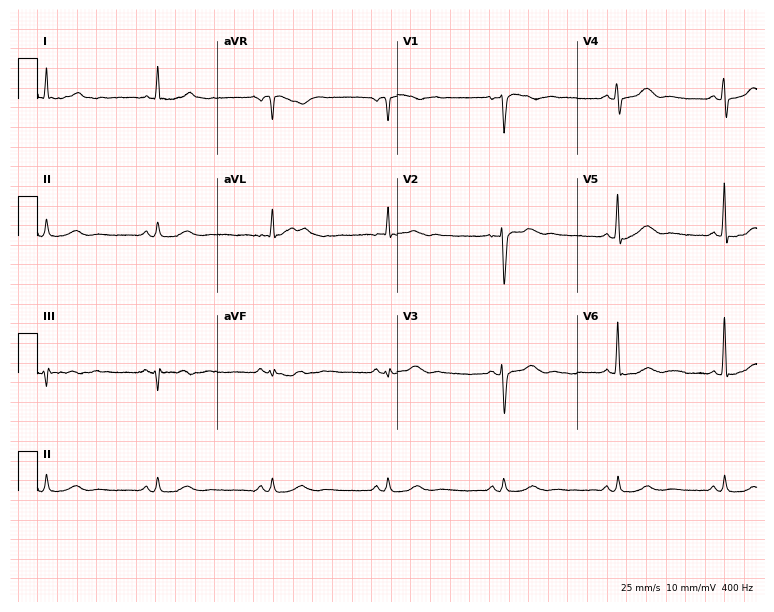
ECG (7.3-second recording at 400 Hz) — a 50-year-old woman. Labelled as a normal ECG.